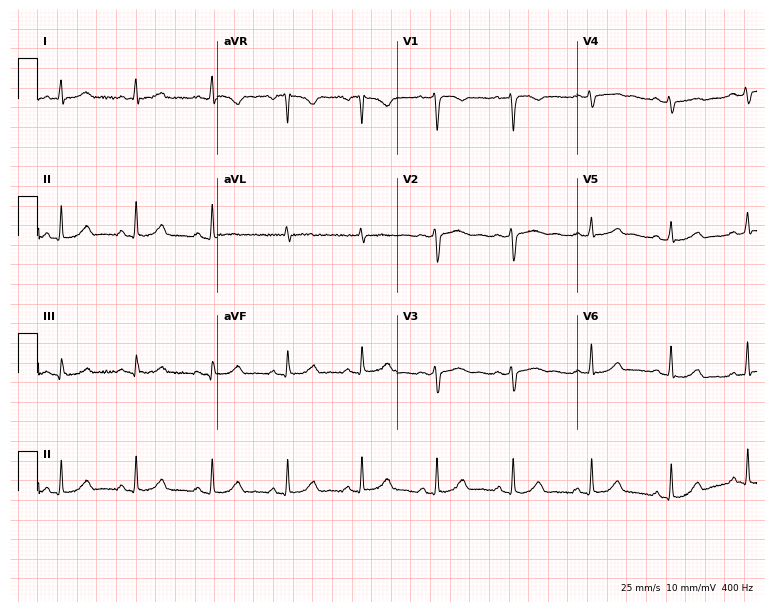
Resting 12-lead electrocardiogram. Patient: a woman, 43 years old. Read as a normal ECG.